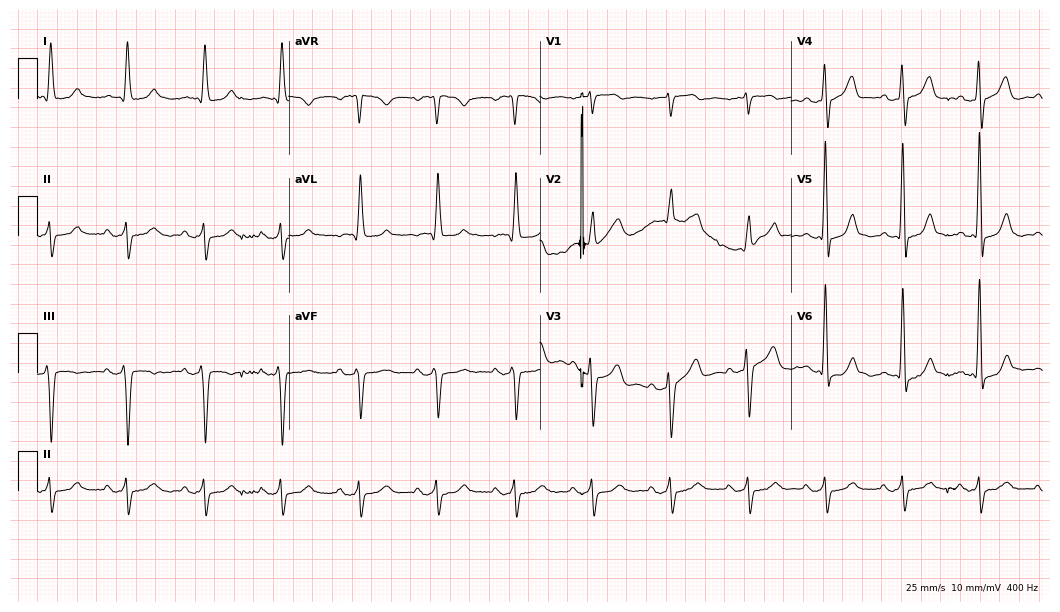
Electrocardiogram (10.2-second recording at 400 Hz), an 85-year-old male. Of the six screened findings (first-degree AV block, right bundle branch block, left bundle branch block, sinus bradycardia, atrial fibrillation, sinus tachycardia), none is recorded.